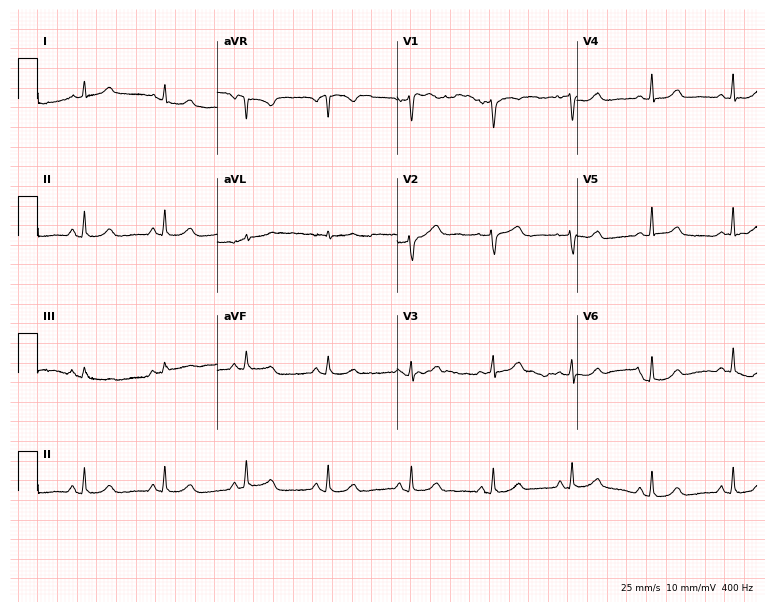
ECG — a 50-year-old woman. Labelled as a normal ECG.